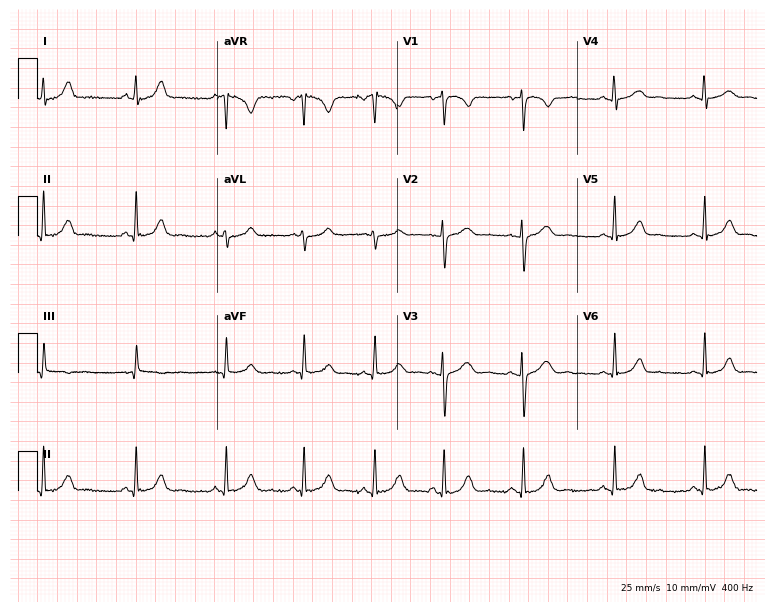
12-lead ECG from a 19-year-old woman. Recorded interpretation: within normal limits.